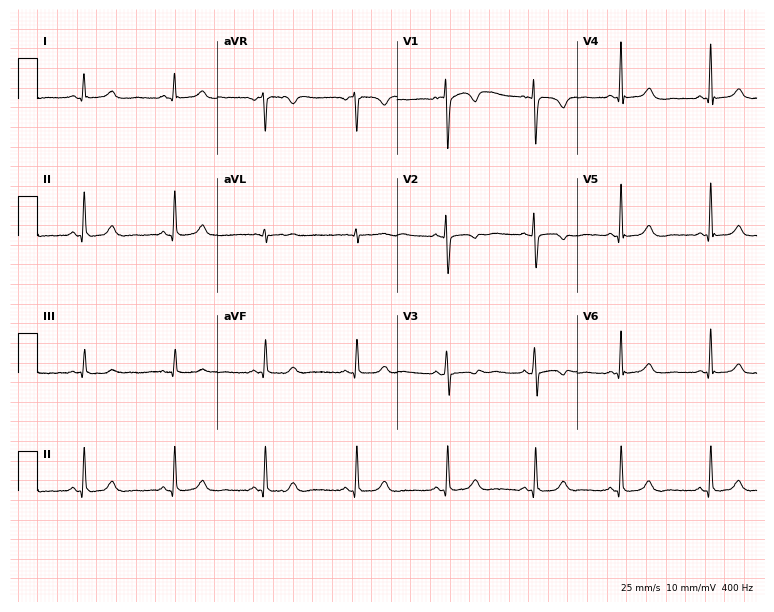
12-lead ECG (7.3-second recording at 400 Hz) from a 32-year-old female patient. Labelled as a normal ECG.